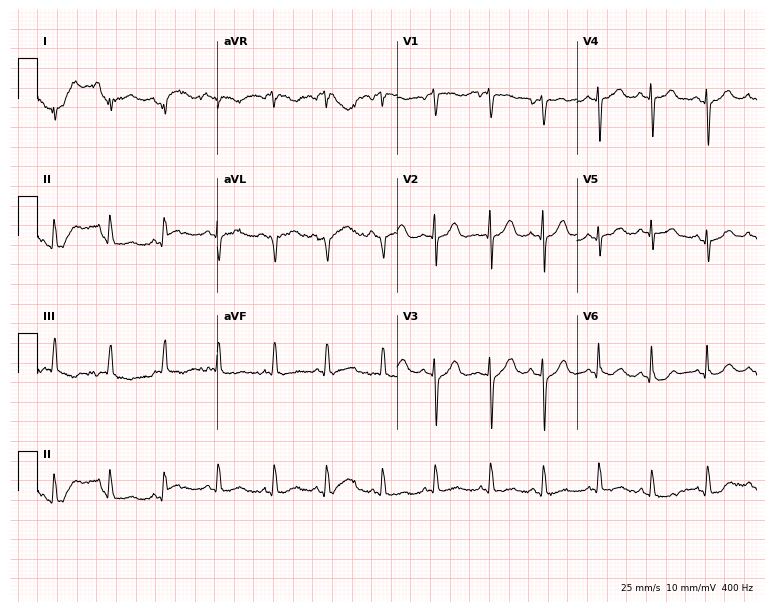
Standard 12-lead ECG recorded from a male patient, 75 years old. The tracing shows sinus tachycardia (a sinus rate of 100 beats per minute or more).